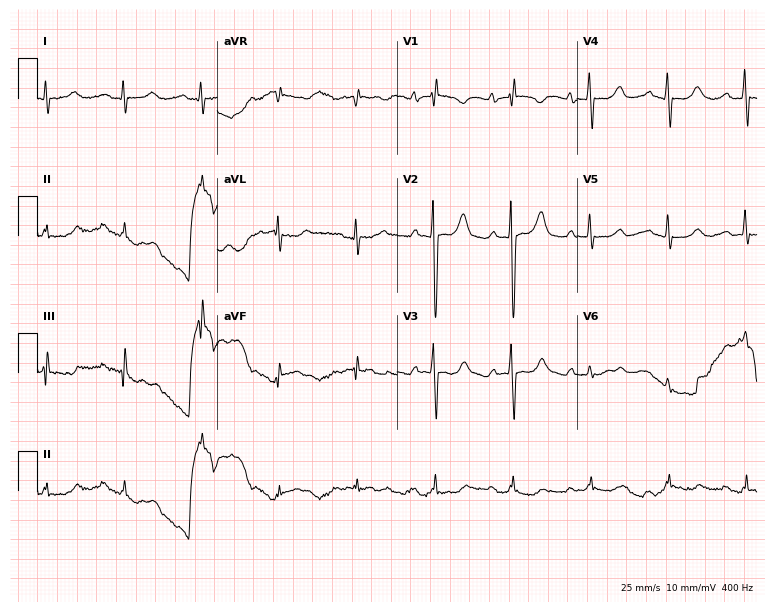
Resting 12-lead electrocardiogram (7.3-second recording at 400 Hz). Patient: a 60-year-old woman. None of these six findings is recorded: first-degree AV block, right bundle branch block, left bundle branch block, sinus bradycardia, atrial fibrillation, sinus tachycardia. Only these six findings were labelled.